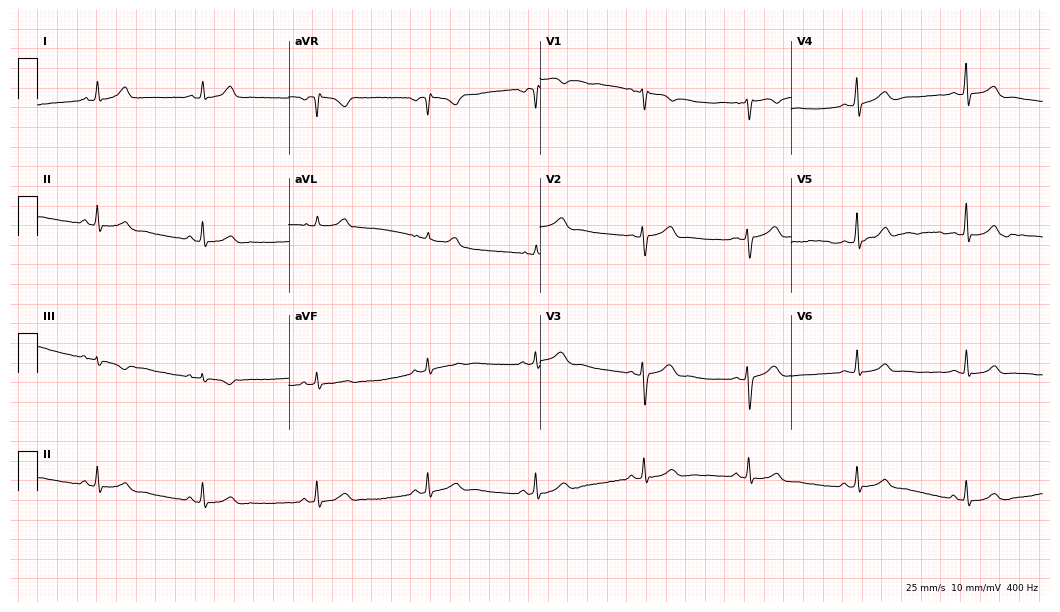
12-lead ECG from a female, 31 years old. Recorded interpretation: within normal limits.